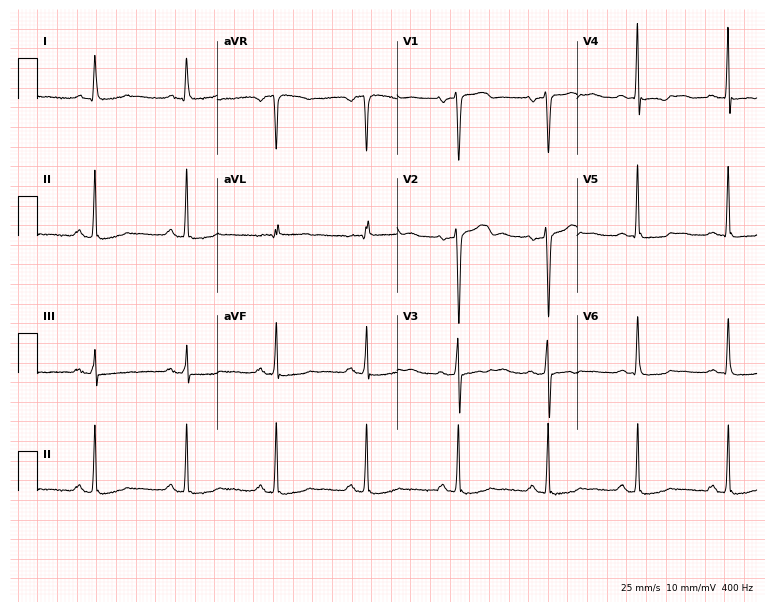
12-lead ECG (7.3-second recording at 400 Hz) from a female, 55 years old. Screened for six findings — first-degree AV block, right bundle branch block, left bundle branch block, sinus bradycardia, atrial fibrillation, sinus tachycardia — none is recorded.